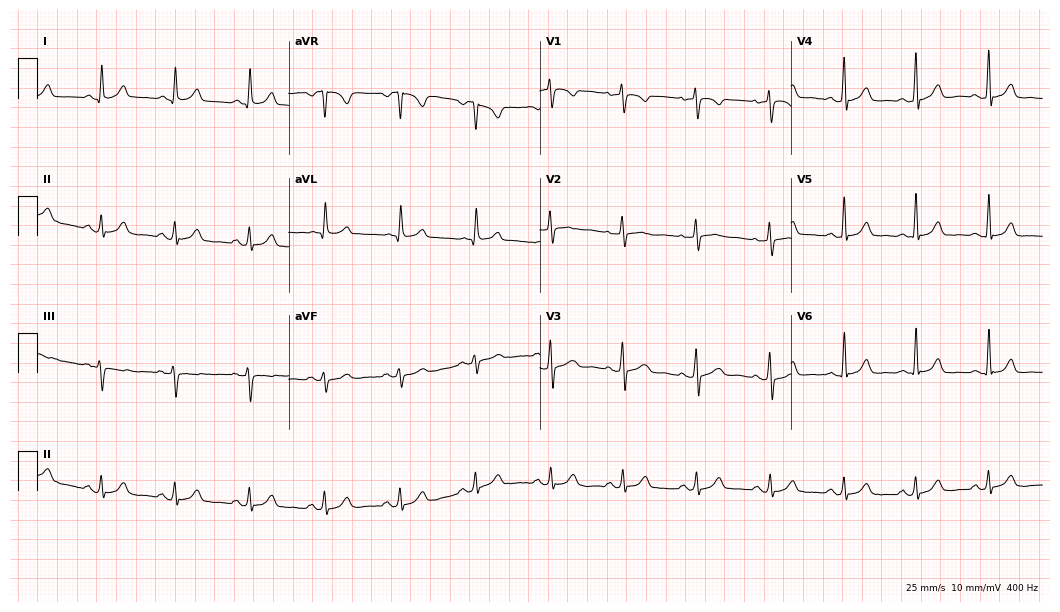
Resting 12-lead electrocardiogram. Patient: a female, 40 years old. None of these six findings is recorded: first-degree AV block, right bundle branch block, left bundle branch block, sinus bradycardia, atrial fibrillation, sinus tachycardia.